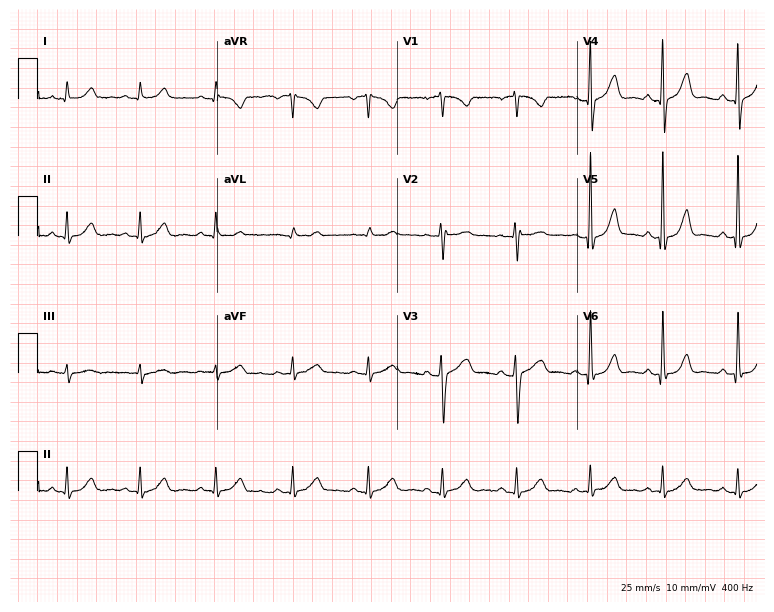
12-lead ECG from a female, 33 years old. Labelled as a normal ECG.